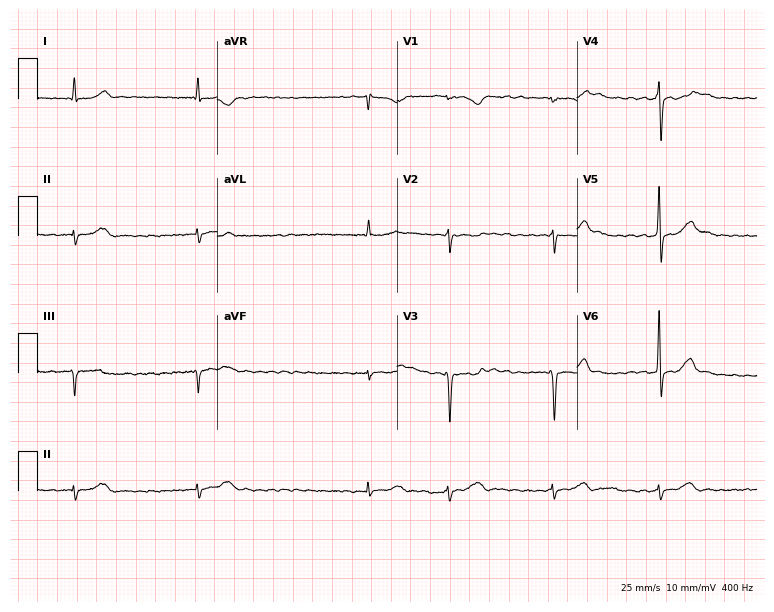
12-lead ECG from a man, 71 years old. Shows atrial fibrillation.